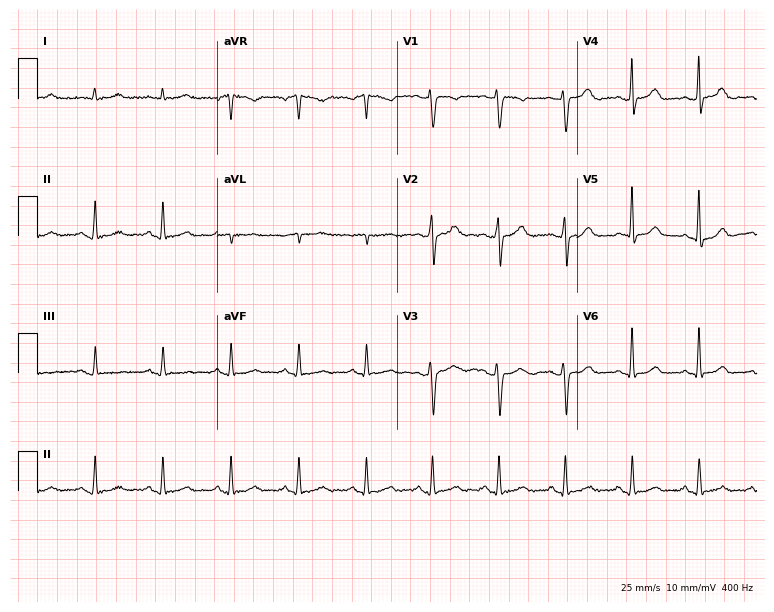
Standard 12-lead ECG recorded from a male, 51 years old (7.3-second recording at 400 Hz). Read as a normal ECG.